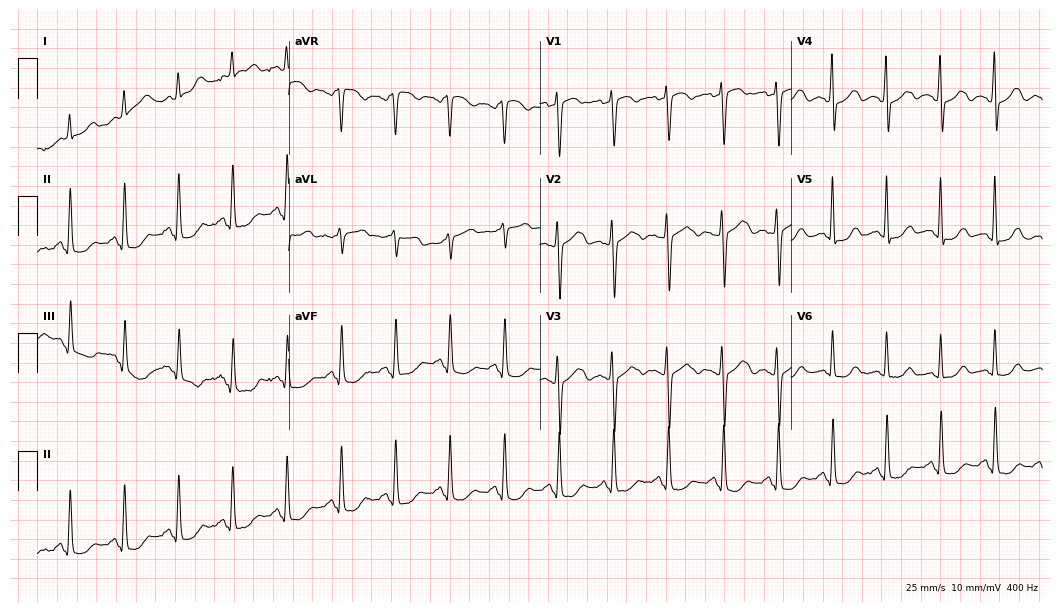
Resting 12-lead electrocardiogram. Patient: a 52-year-old woman. The tracing shows sinus tachycardia (a sinus rate of 100 beats per minute or more).